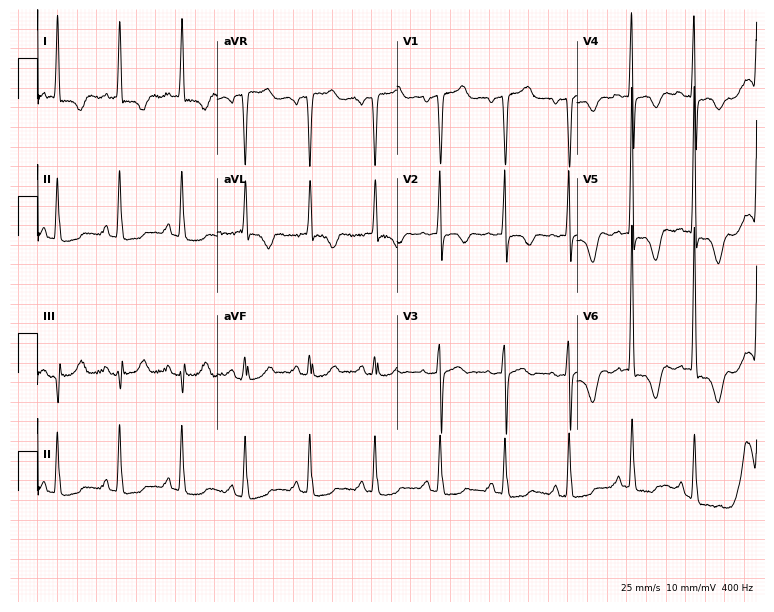
Electrocardiogram, a 79-year-old female patient. Of the six screened findings (first-degree AV block, right bundle branch block (RBBB), left bundle branch block (LBBB), sinus bradycardia, atrial fibrillation (AF), sinus tachycardia), none is recorded.